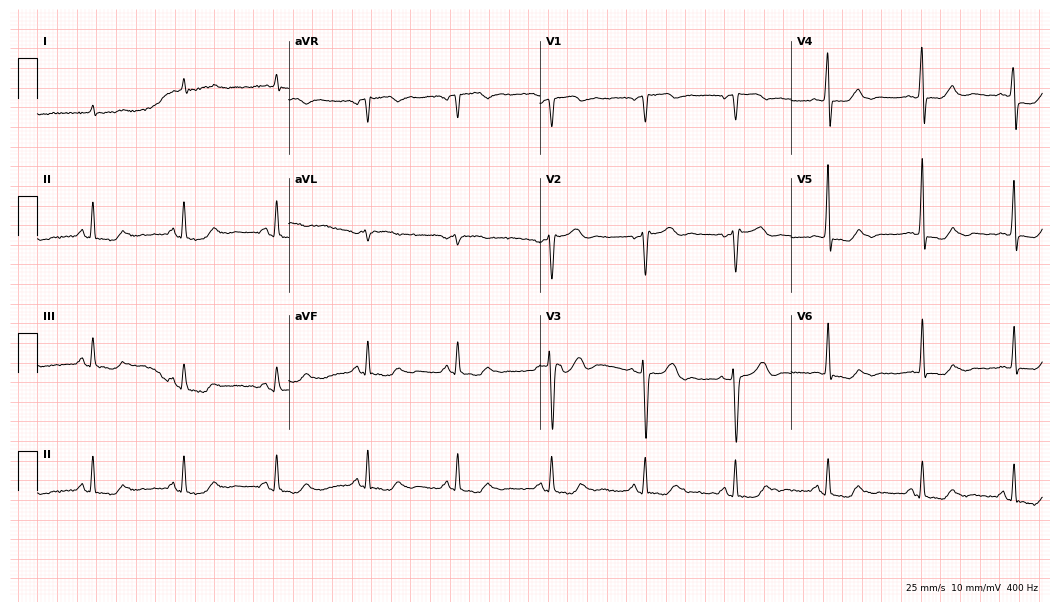
Electrocardiogram, a female patient, 73 years old. Of the six screened findings (first-degree AV block, right bundle branch block, left bundle branch block, sinus bradycardia, atrial fibrillation, sinus tachycardia), none is recorded.